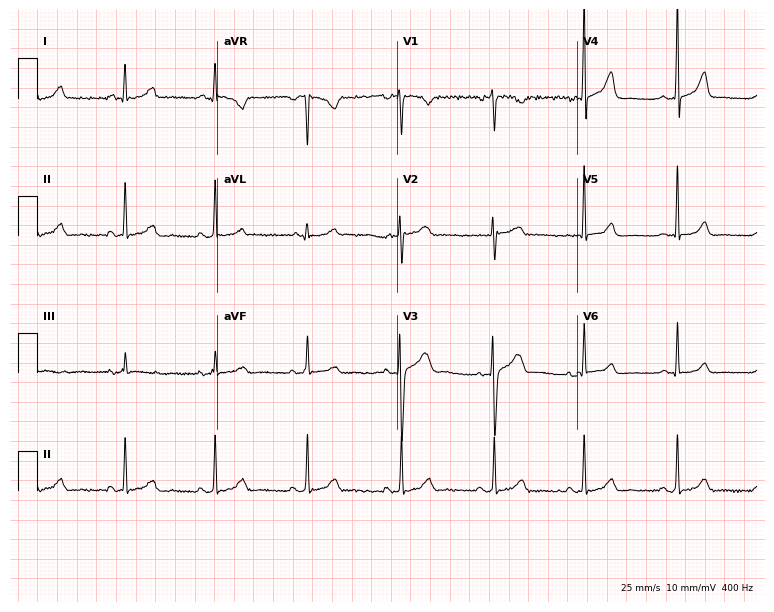
Electrocardiogram, a male patient, 51 years old. Overall reading on record: normal ECG.